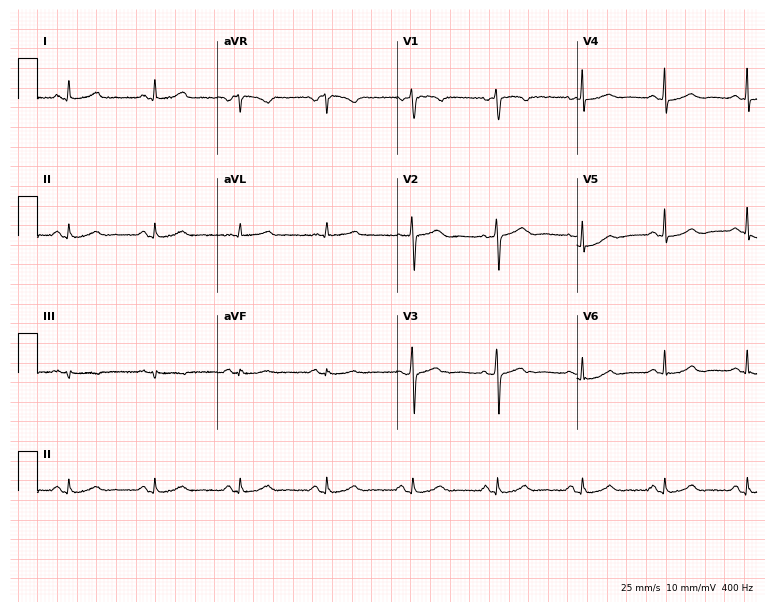
12-lead ECG (7.3-second recording at 400 Hz) from a 54-year-old female patient. Screened for six findings — first-degree AV block, right bundle branch block, left bundle branch block, sinus bradycardia, atrial fibrillation, sinus tachycardia — none is recorded. Other findings, if any, are not listed.